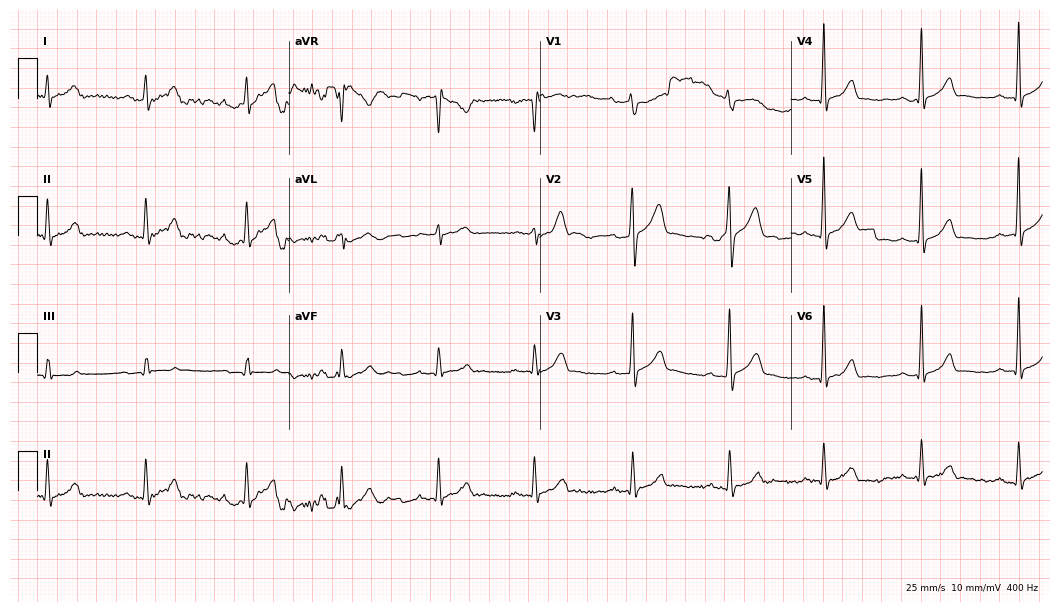
Standard 12-lead ECG recorded from a man, 37 years old. Read as a normal ECG.